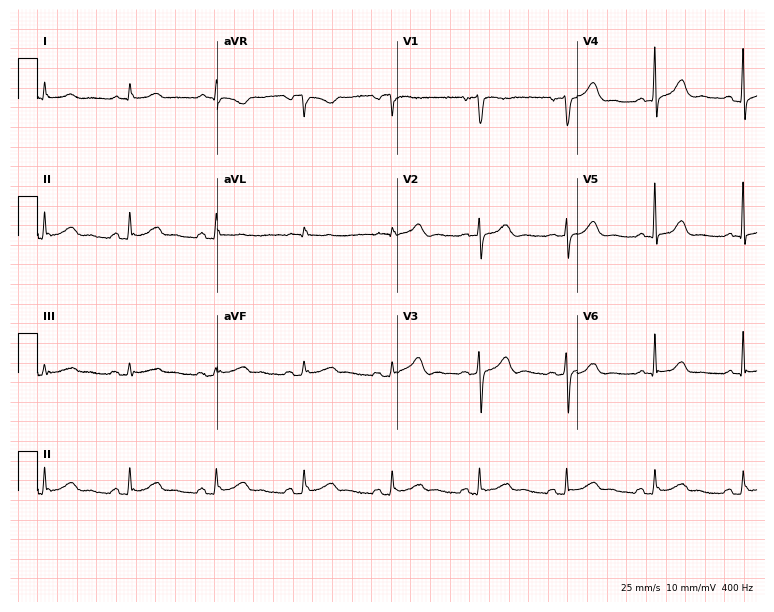
ECG — a male patient, 78 years old. Labelled as a normal ECG.